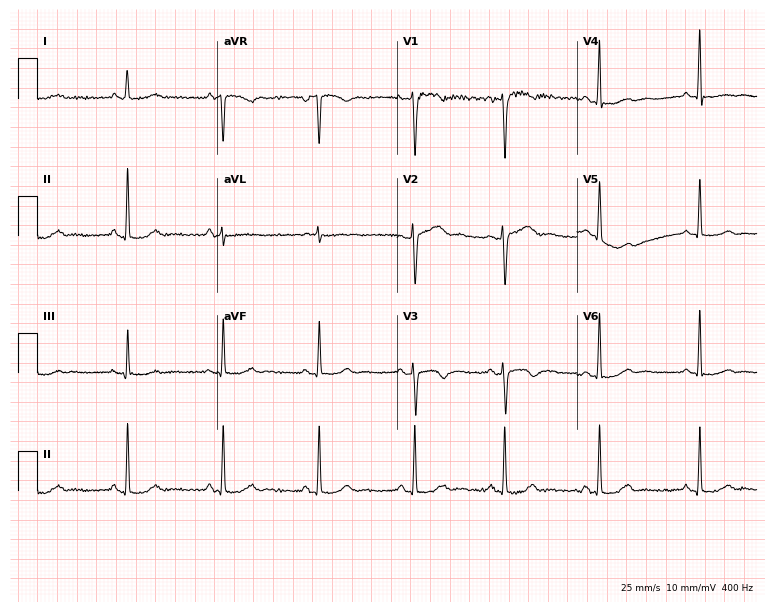
12-lead ECG from a female patient, 41 years old (7.3-second recording at 400 Hz). No first-degree AV block, right bundle branch block, left bundle branch block, sinus bradycardia, atrial fibrillation or sinus tachycardia recorded for this tracing.